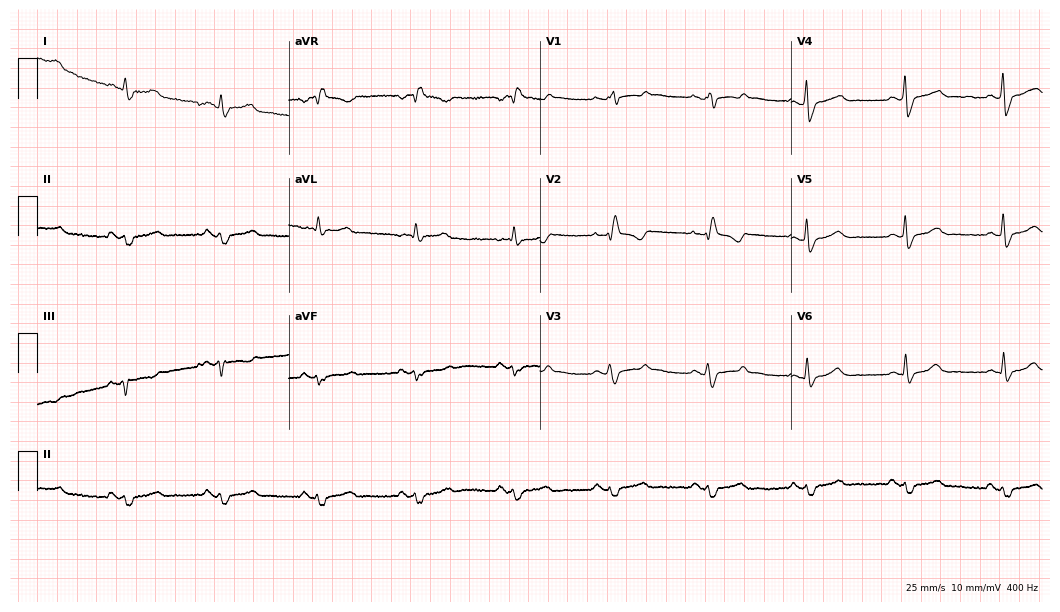
Electrocardiogram, a 49-year-old female. Interpretation includes right bundle branch block (RBBB).